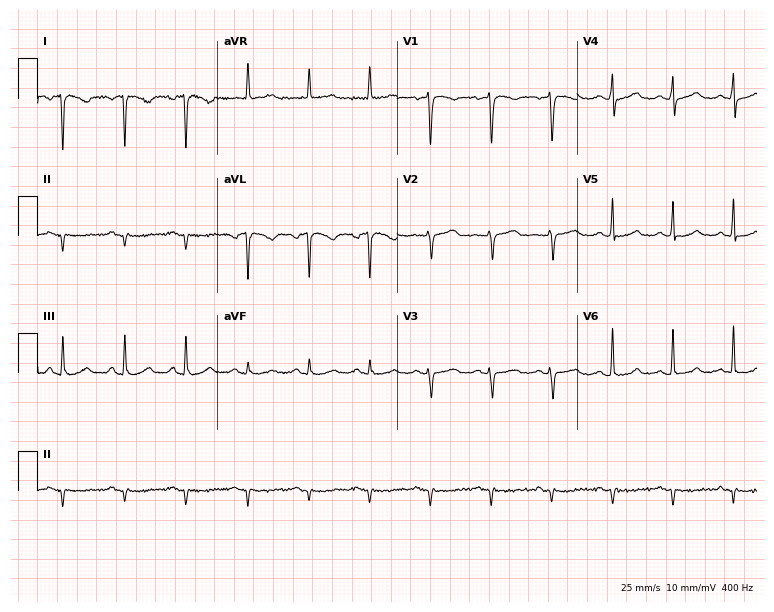
ECG (7.3-second recording at 400 Hz) — a woman, 67 years old. Screened for six findings — first-degree AV block, right bundle branch block (RBBB), left bundle branch block (LBBB), sinus bradycardia, atrial fibrillation (AF), sinus tachycardia — none is recorded.